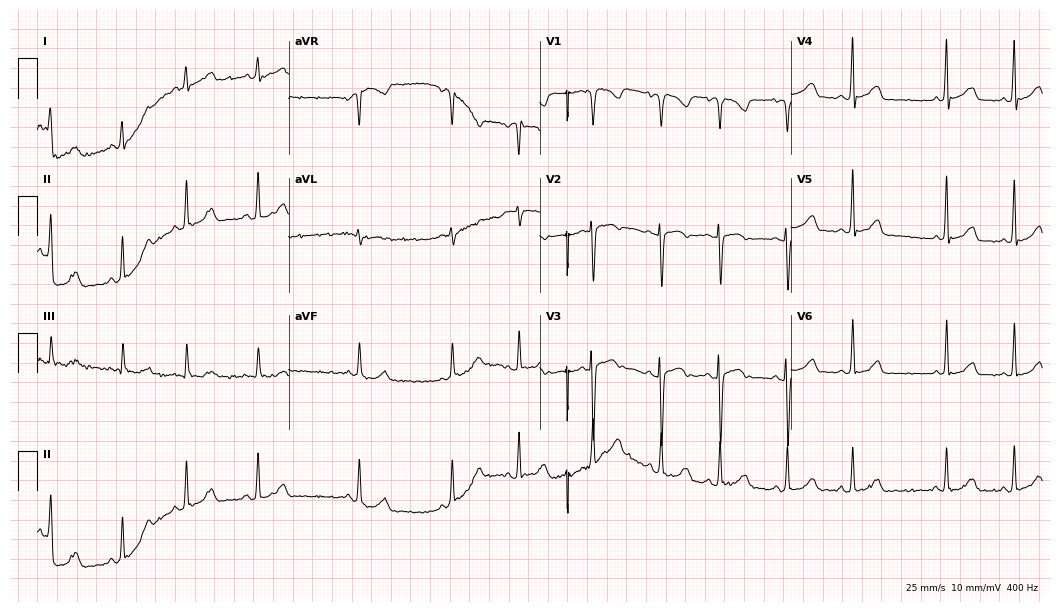
Standard 12-lead ECG recorded from a 30-year-old male (10.2-second recording at 400 Hz). Read as a normal ECG.